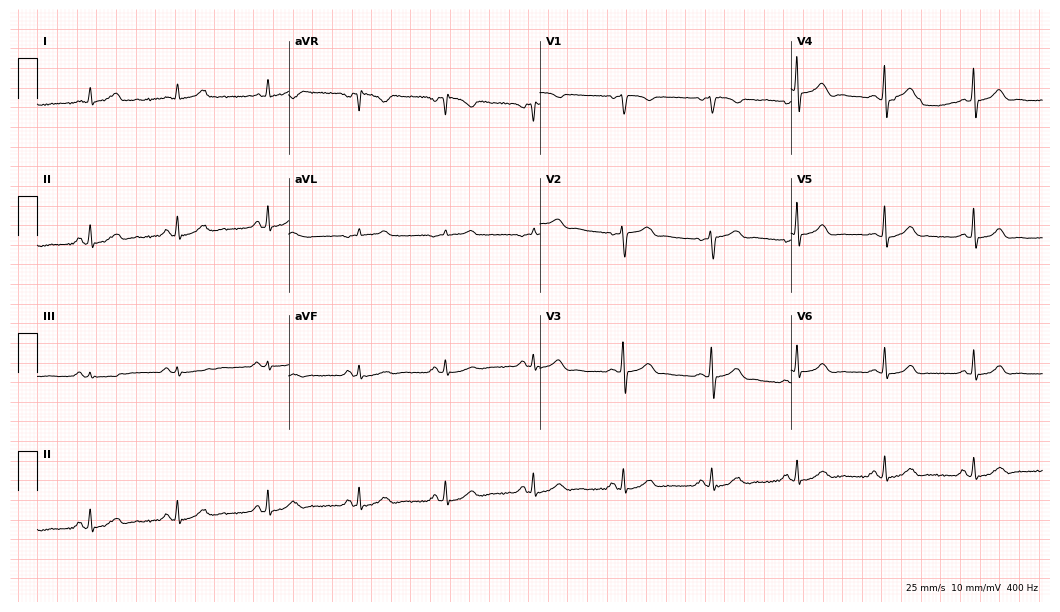
Standard 12-lead ECG recorded from a woman, 28 years old. Read as a normal ECG.